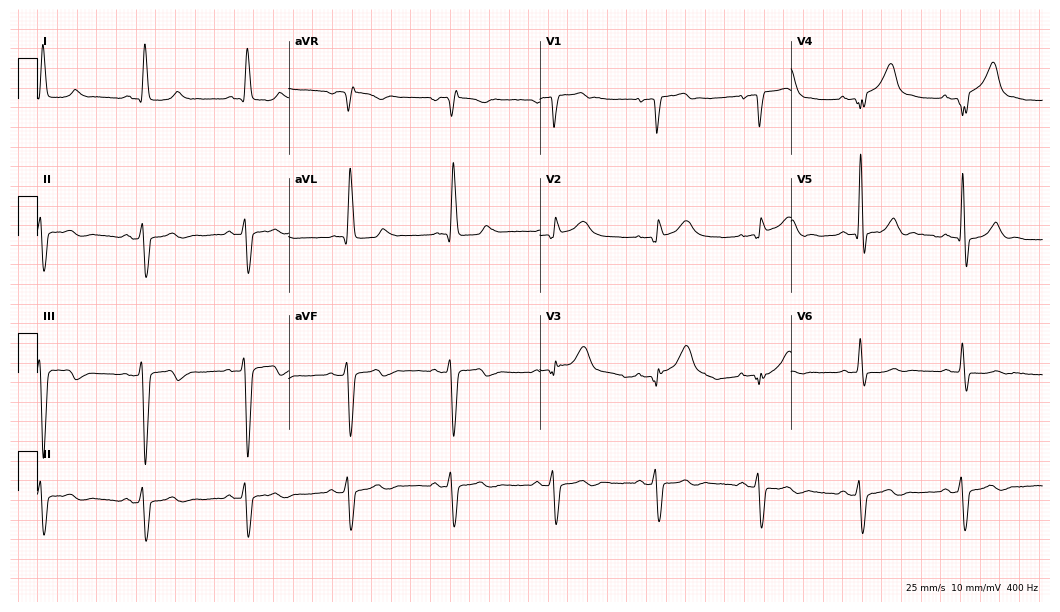
Standard 12-lead ECG recorded from a male, 74 years old. None of these six findings is recorded: first-degree AV block, right bundle branch block, left bundle branch block, sinus bradycardia, atrial fibrillation, sinus tachycardia. Only these six findings were labelled.